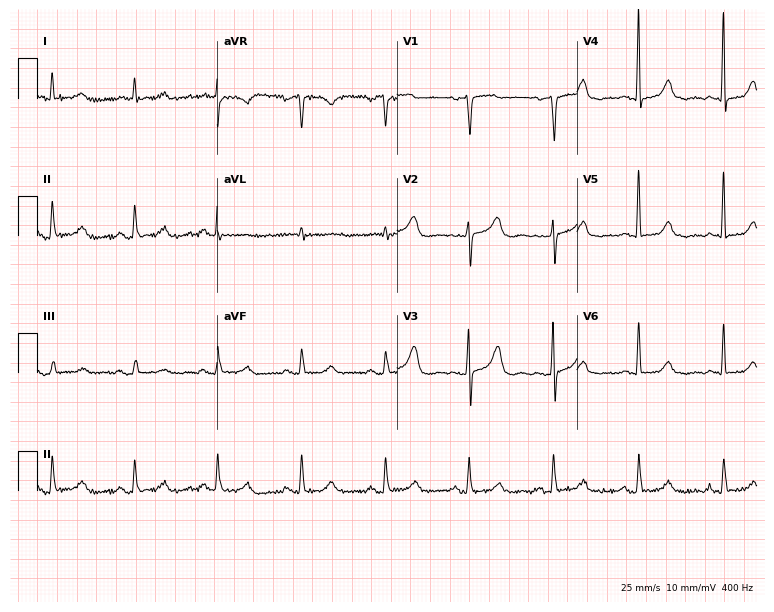
Resting 12-lead electrocardiogram. Patient: an 80-year-old female. Read as a normal ECG.